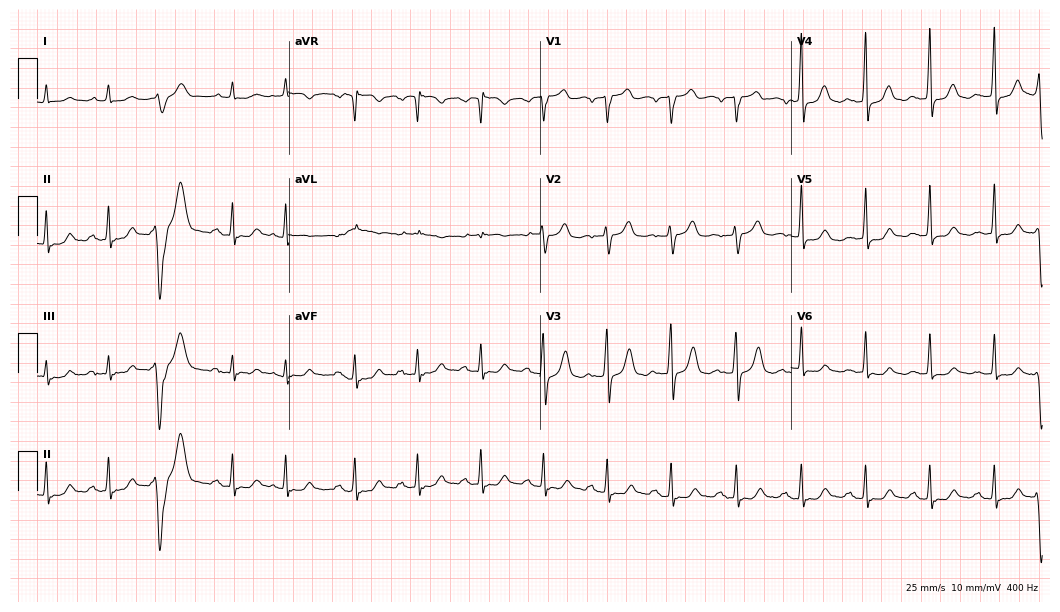
Electrocardiogram (10.2-second recording at 400 Hz), a 76-year-old man. Of the six screened findings (first-degree AV block, right bundle branch block (RBBB), left bundle branch block (LBBB), sinus bradycardia, atrial fibrillation (AF), sinus tachycardia), none is recorded.